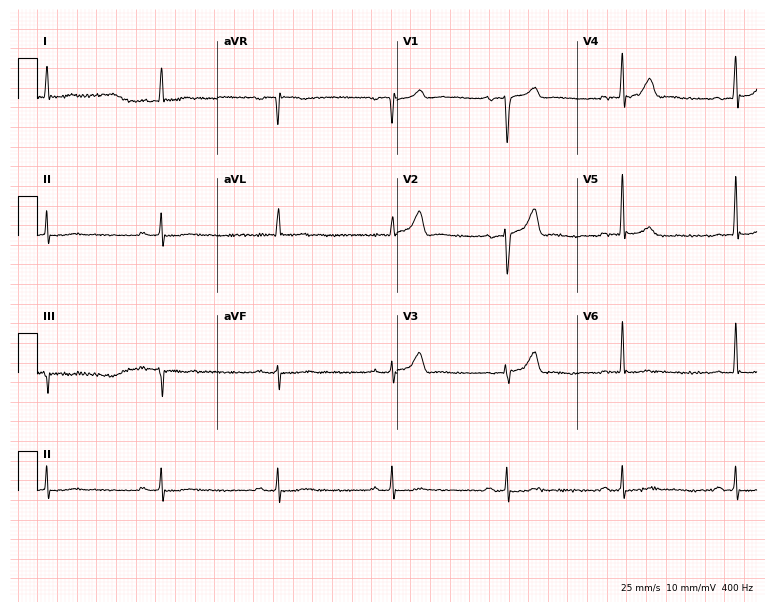
Standard 12-lead ECG recorded from a male, 64 years old. None of these six findings is recorded: first-degree AV block, right bundle branch block, left bundle branch block, sinus bradycardia, atrial fibrillation, sinus tachycardia. Only these six findings were labelled.